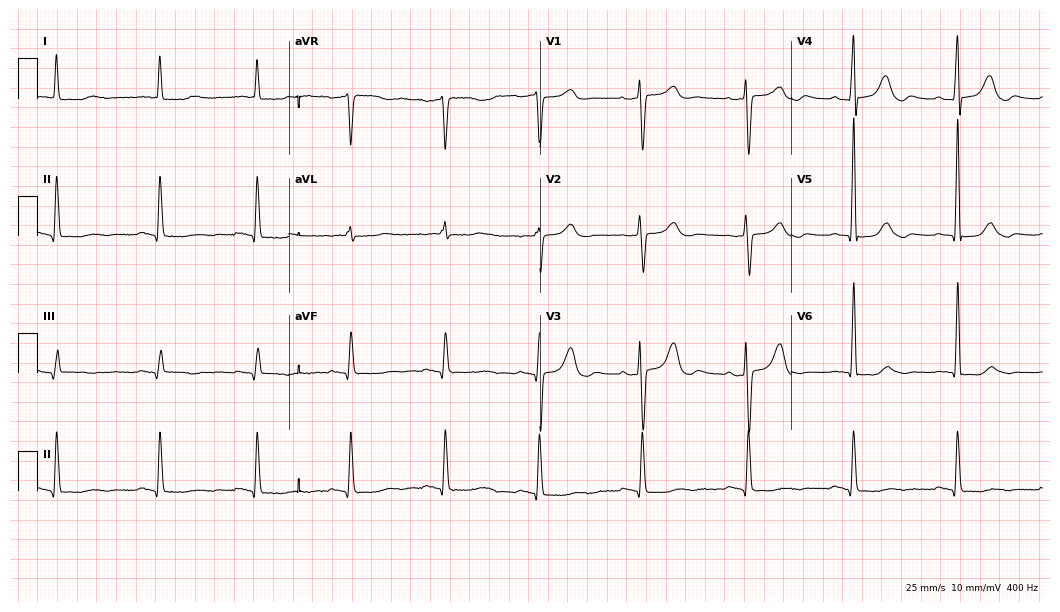
12-lead ECG from a 71-year-old female patient. Screened for six findings — first-degree AV block, right bundle branch block, left bundle branch block, sinus bradycardia, atrial fibrillation, sinus tachycardia — none is recorded. Other findings, if any, are not listed.